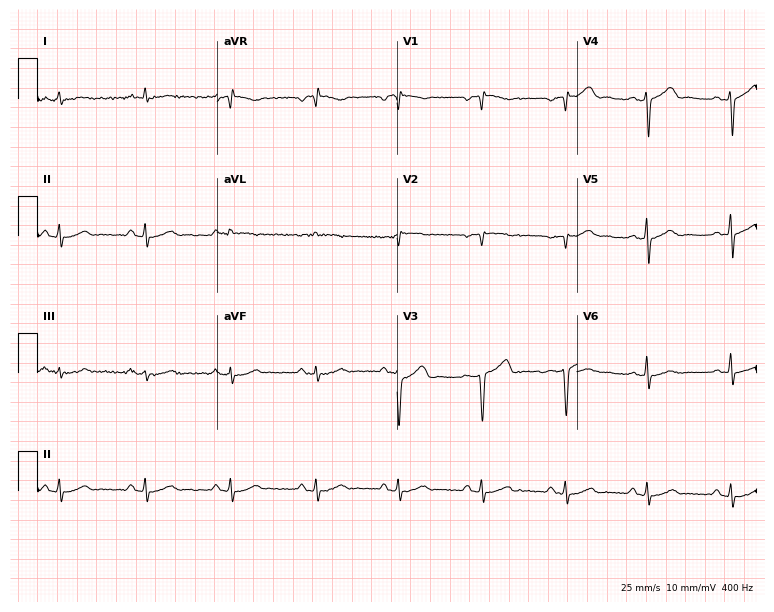
ECG (7.3-second recording at 400 Hz) — a 57-year-old man. Screened for six findings — first-degree AV block, right bundle branch block (RBBB), left bundle branch block (LBBB), sinus bradycardia, atrial fibrillation (AF), sinus tachycardia — none is recorded. Only these six findings were labelled.